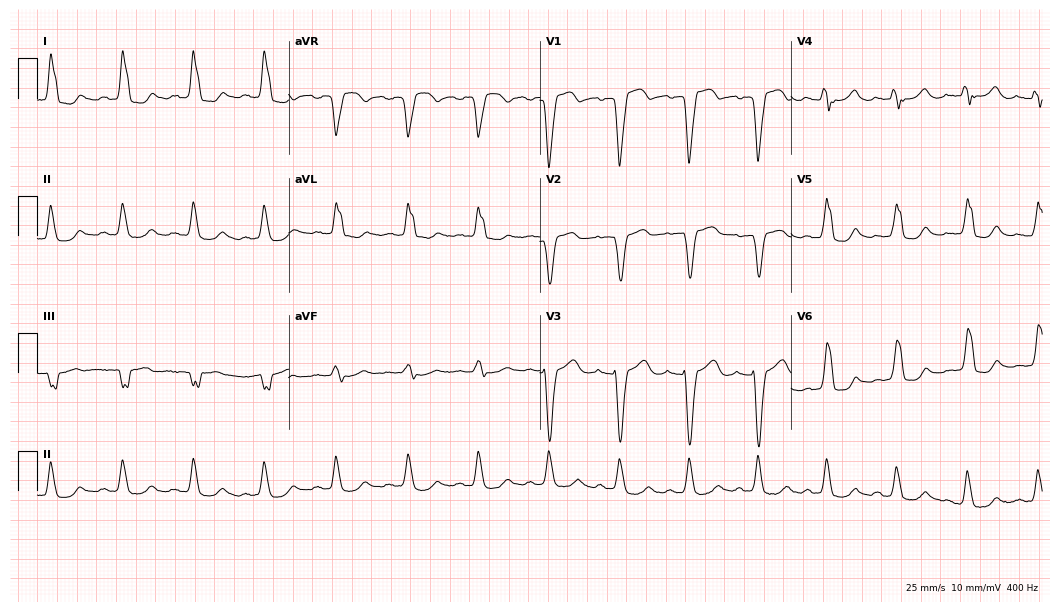
Standard 12-lead ECG recorded from a 68-year-old female patient. None of these six findings is recorded: first-degree AV block, right bundle branch block, left bundle branch block, sinus bradycardia, atrial fibrillation, sinus tachycardia.